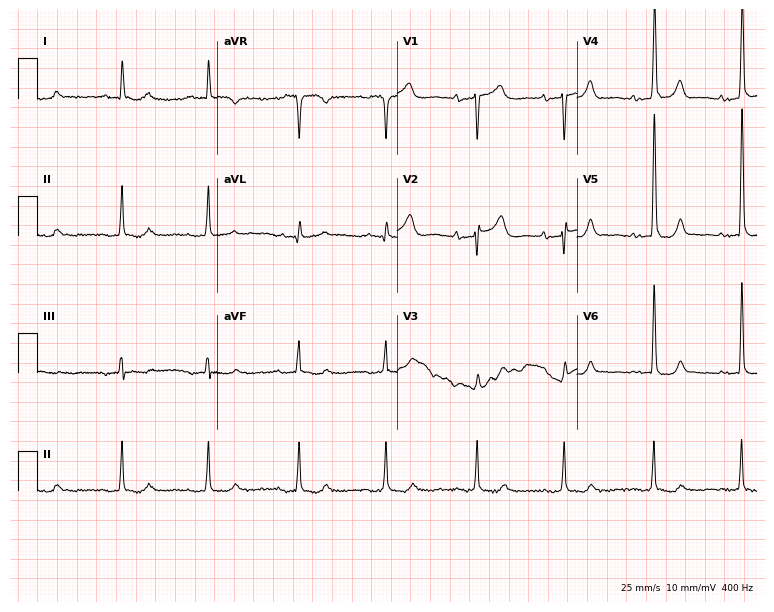
ECG (7.3-second recording at 400 Hz) — a 74-year-old female. Screened for six findings — first-degree AV block, right bundle branch block (RBBB), left bundle branch block (LBBB), sinus bradycardia, atrial fibrillation (AF), sinus tachycardia — none is recorded.